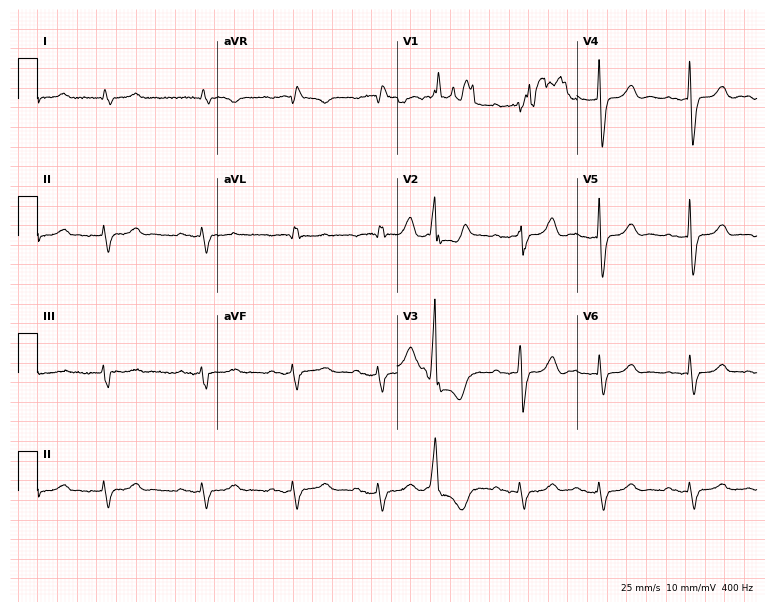
ECG (7.3-second recording at 400 Hz) — an 82-year-old woman. Findings include right bundle branch block.